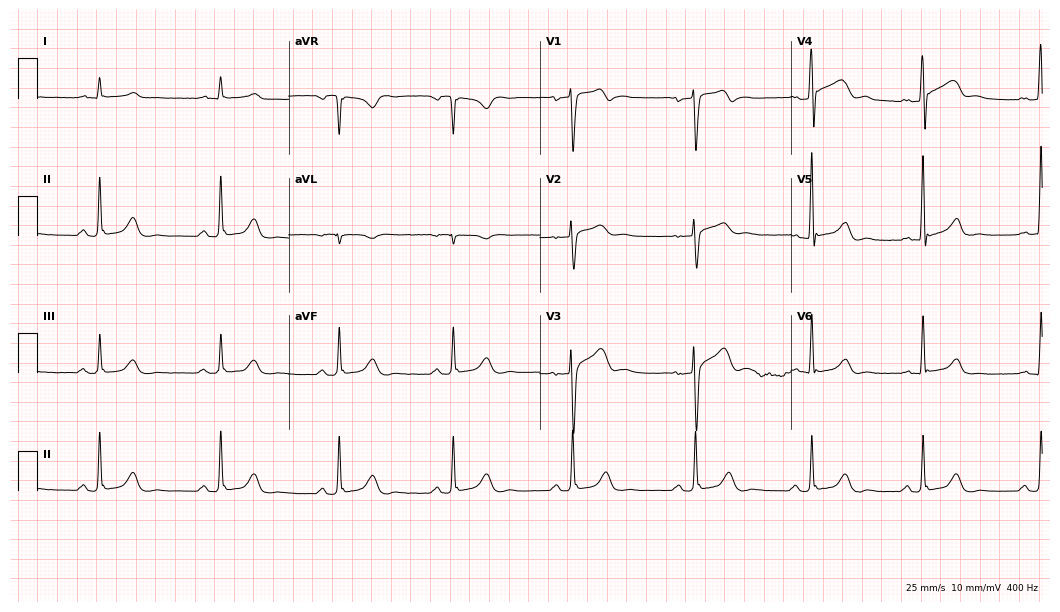
Standard 12-lead ECG recorded from a 47-year-old female (10.2-second recording at 400 Hz). Read as a normal ECG.